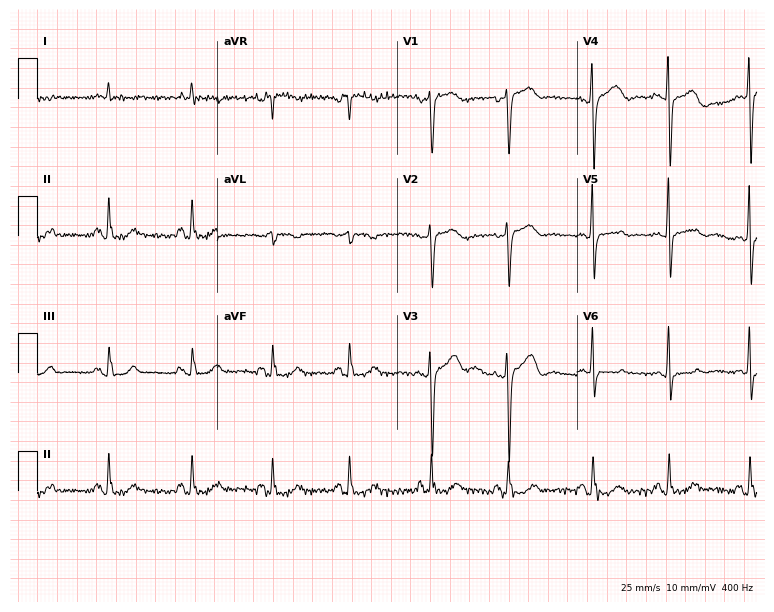
Resting 12-lead electrocardiogram (7.3-second recording at 400 Hz). Patient: an 80-year-old female. Read as a normal ECG.